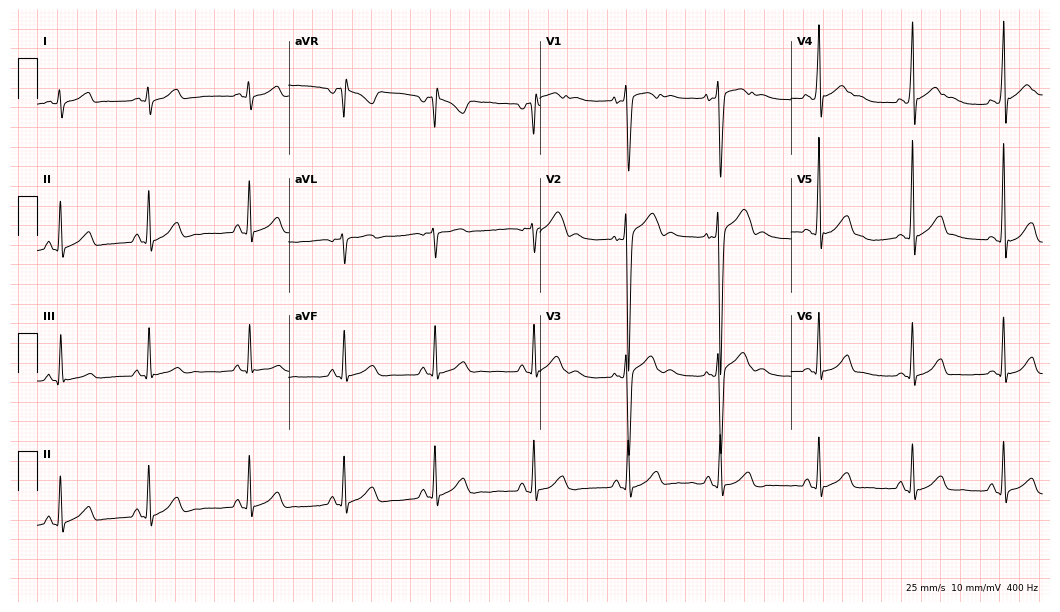
12-lead ECG from a male, 17 years old (10.2-second recording at 400 Hz). Recorded interpretation: within normal limits.